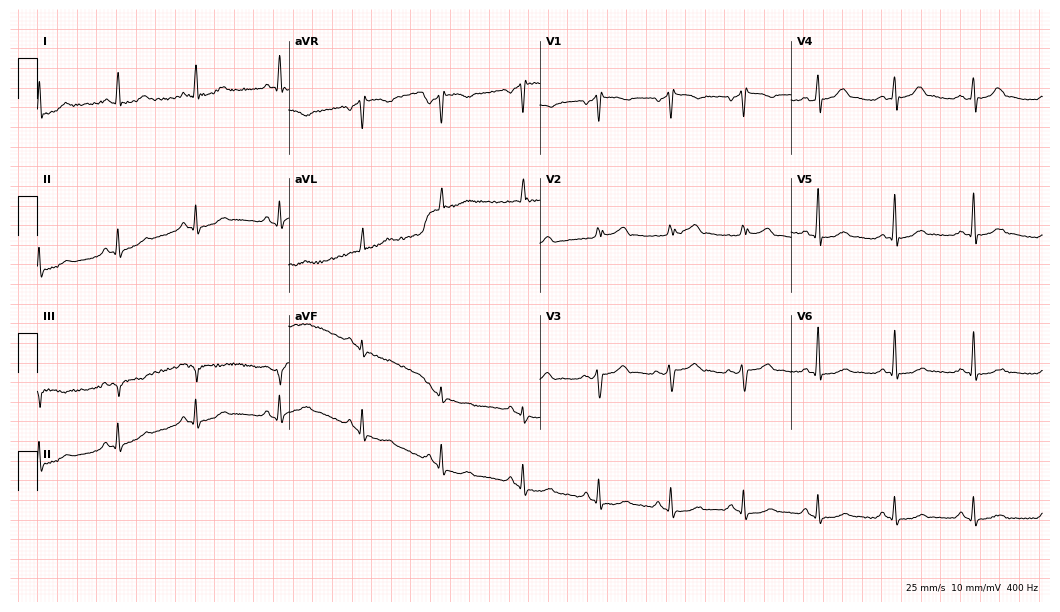
Resting 12-lead electrocardiogram. Patient: a man, 69 years old. None of these six findings is recorded: first-degree AV block, right bundle branch block (RBBB), left bundle branch block (LBBB), sinus bradycardia, atrial fibrillation (AF), sinus tachycardia. Findings outside these six are not listed.